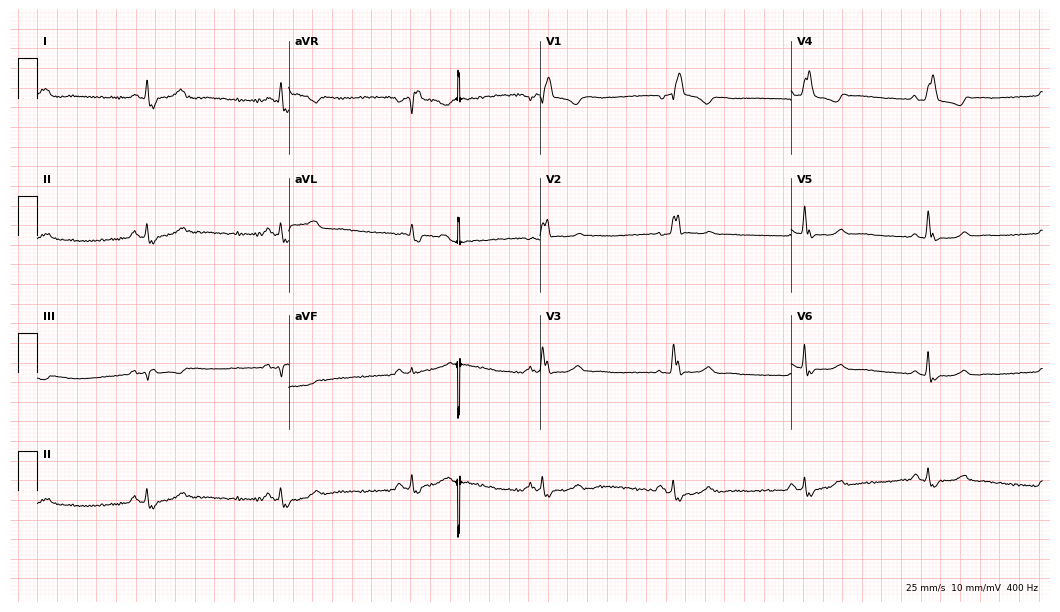
12-lead ECG from a 65-year-old female patient. Screened for six findings — first-degree AV block, right bundle branch block, left bundle branch block, sinus bradycardia, atrial fibrillation, sinus tachycardia — none is recorded. Findings outside these six are not listed.